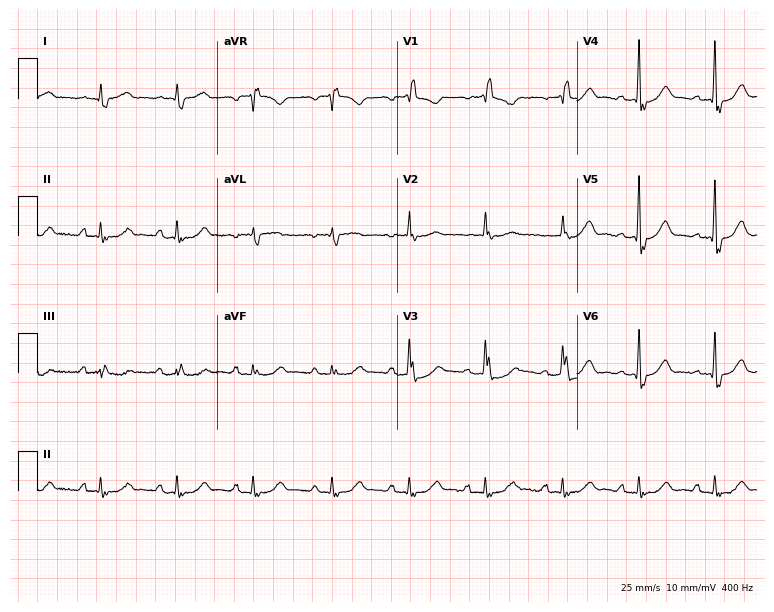
Electrocardiogram, a male, 84 years old. Interpretation includes right bundle branch block (RBBB).